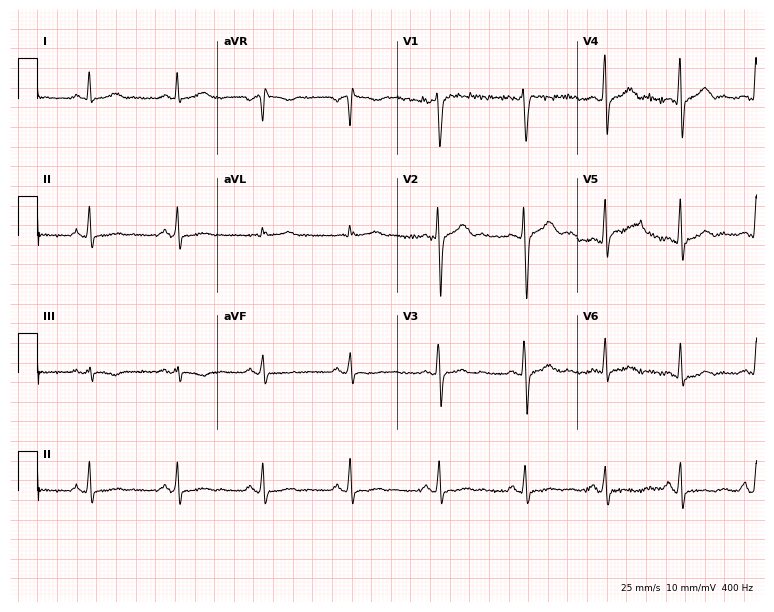
Resting 12-lead electrocardiogram (7.3-second recording at 400 Hz). Patient: a 36-year-old female. None of these six findings is recorded: first-degree AV block, right bundle branch block, left bundle branch block, sinus bradycardia, atrial fibrillation, sinus tachycardia.